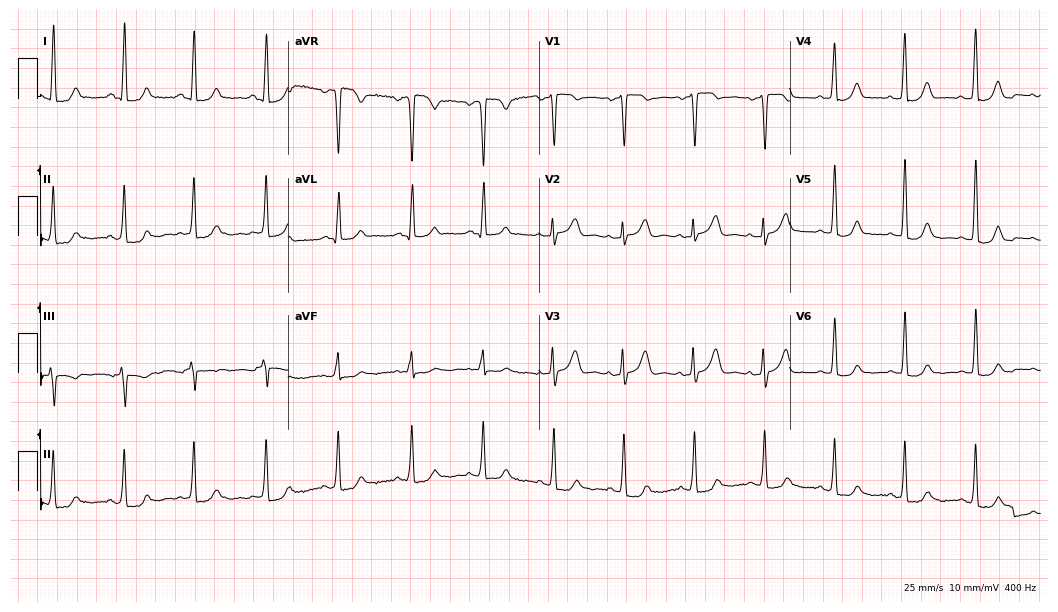
12-lead ECG from a 61-year-old female patient. No first-degree AV block, right bundle branch block (RBBB), left bundle branch block (LBBB), sinus bradycardia, atrial fibrillation (AF) or sinus tachycardia recorded for this tracing. Findings outside these six are not listed.